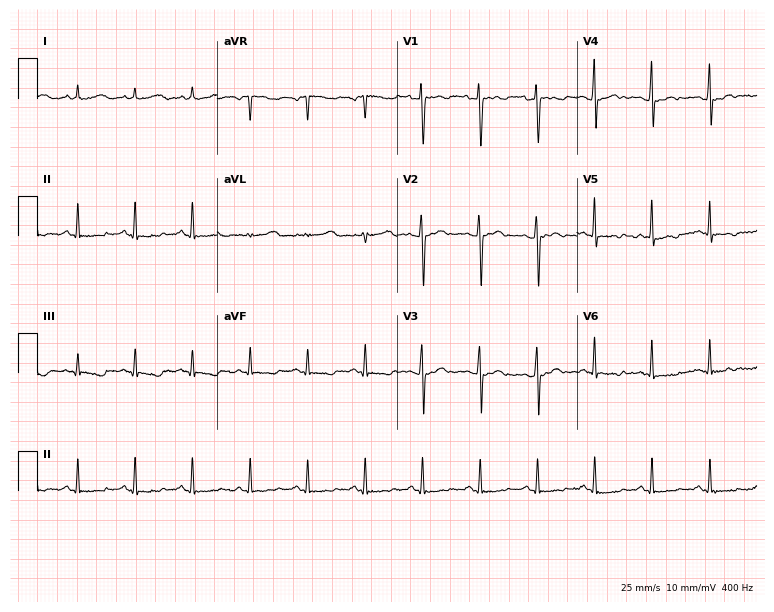
Standard 12-lead ECG recorded from a 49-year-old female (7.3-second recording at 400 Hz). None of these six findings is recorded: first-degree AV block, right bundle branch block, left bundle branch block, sinus bradycardia, atrial fibrillation, sinus tachycardia. Other findings, if any, are not listed.